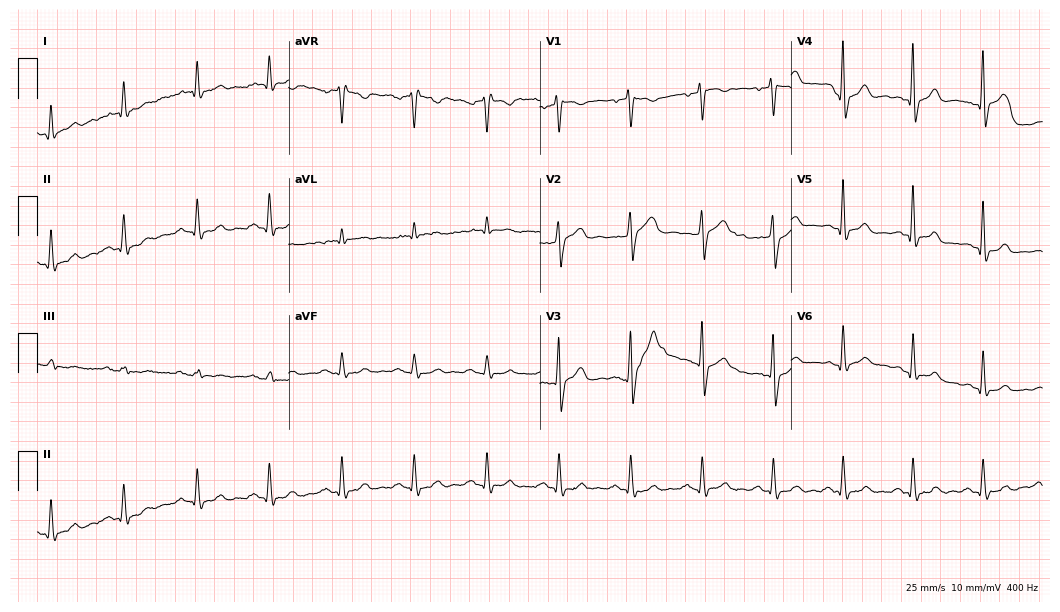
12-lead ECG from a 67-year-old male patient (10.2-second recording at 400 Hz). No first-degree AV block, right bundle branch block, left bundle branch block, sinus bradycardia, atrial fibrillation or sinus tachycardia recorded for this tracing. Findings outside these six are not listed.